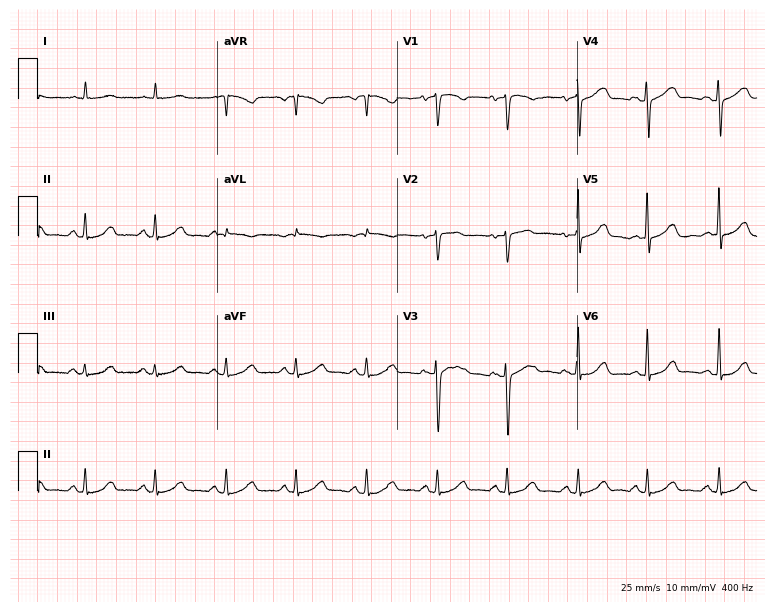
12-lead ECG from a 56-year-old woman (7.3-second recording at 400 Hz). Recorded interpretation: within normal limits.